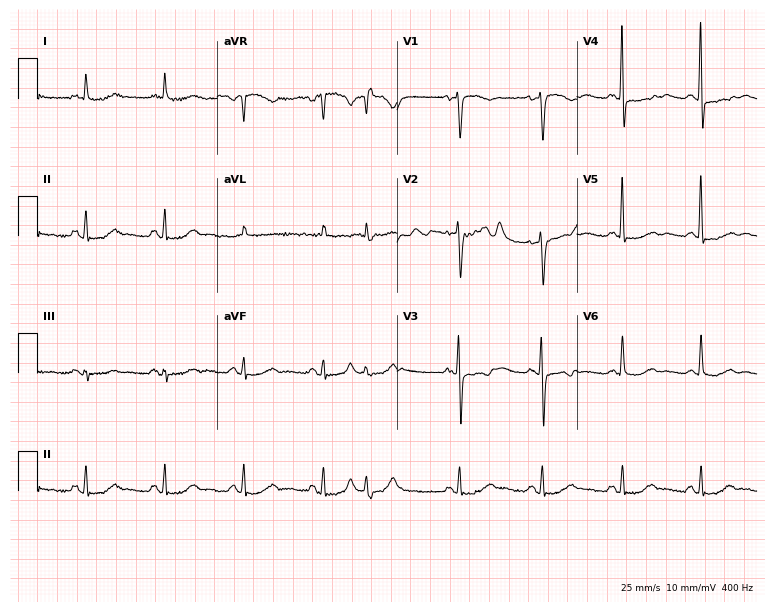
12-lead ECG from an 82-year-old woman. Screened for six findings — first-degree AV block, right bundle branch block, left bundle branch block, sinus bradycardia, atrial fibrillation, sinus tachycardia — none is recorded. Findings outside these six are not listed.